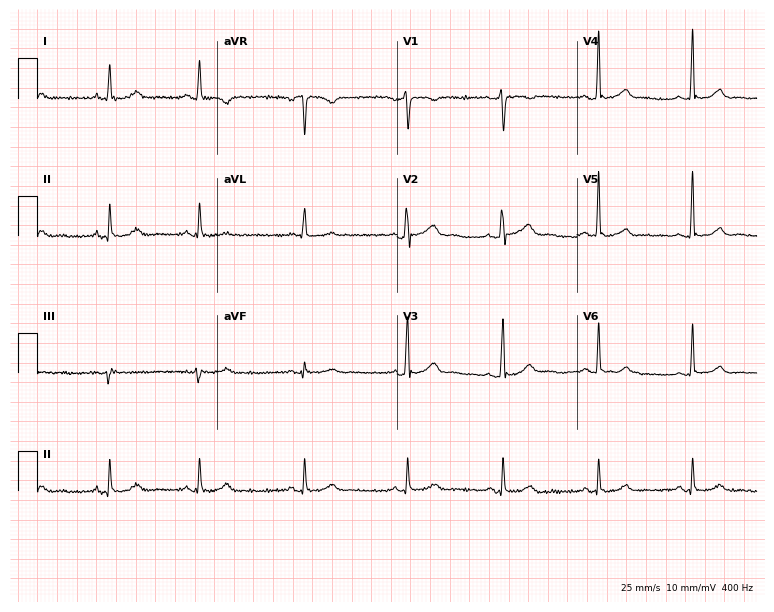
Electrocardiogram (7.3-second recording at 400 Hz), a female, 30 years old. Overall reading on record: normal ECG.